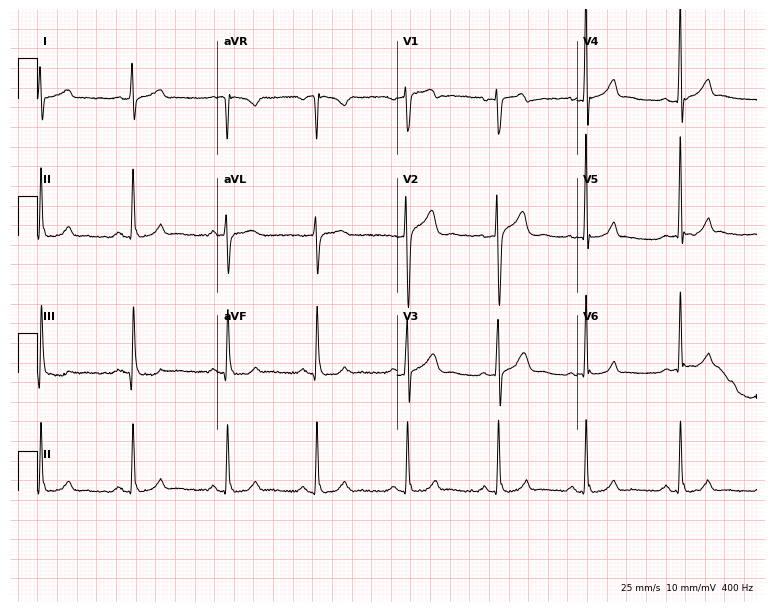
Standard 12-lead ECG recorded from a 40-year-old man. Read as a normal ECG.